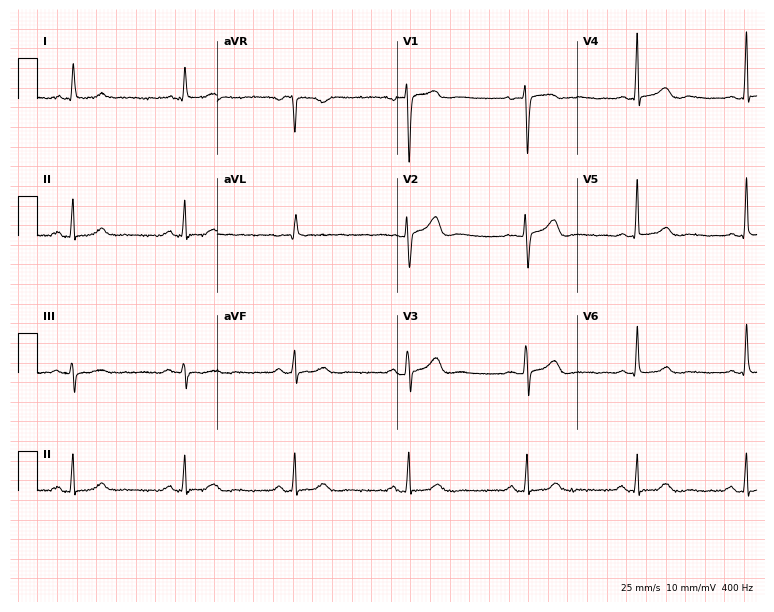
Electrocardiogram, a female, 66 years old. Of the six screened findings (first-degree AV block, right bundle branch block (RBBB), left bundle branch block (LBBB), sinus bradycardia, atrial fibrillation (AF), sinus tachycardia), none is recorded. Only these six findings were labelled.